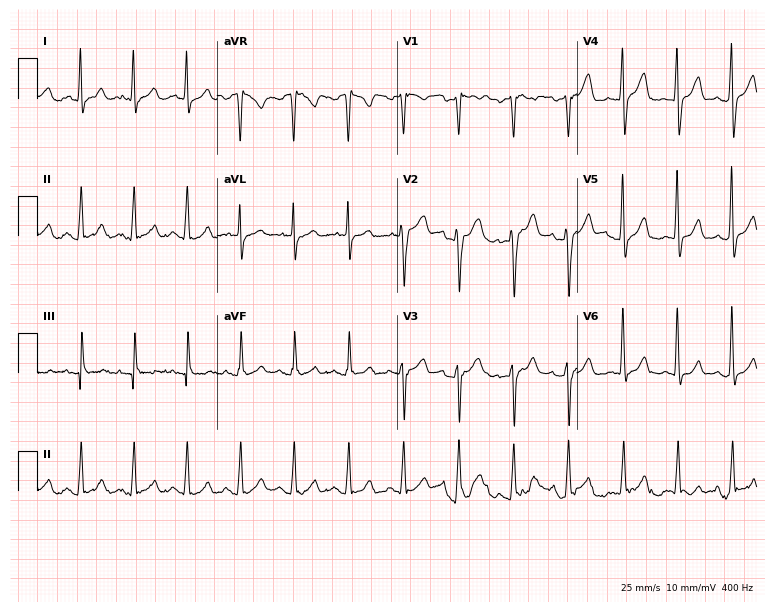
Electrocardiogram (7.3-second recording at 400 Hz), a 25-year-old male patient. Of the six screened findings (first-degree AV block, right bundle branch block (RBBB), left bundle branch block (LBBB), sinus bradycardia, atrial fibrillation (AF), sinus tachycardia), none is recorded.